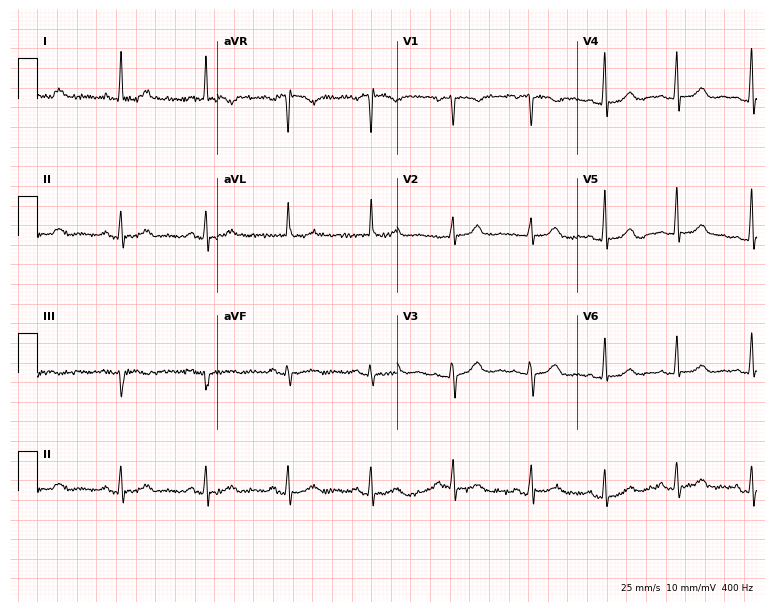
Electrocardiogram (7.3-second recording at 400 Hz), a 51-year-old woman. Of the six screened findings (first-degree AV block, right bundle branch block (RBBB), left bundle branch block (LBBB), sinus bradycardia, atrial fibrillation (AF), sinus tachycardia), none is recorded.